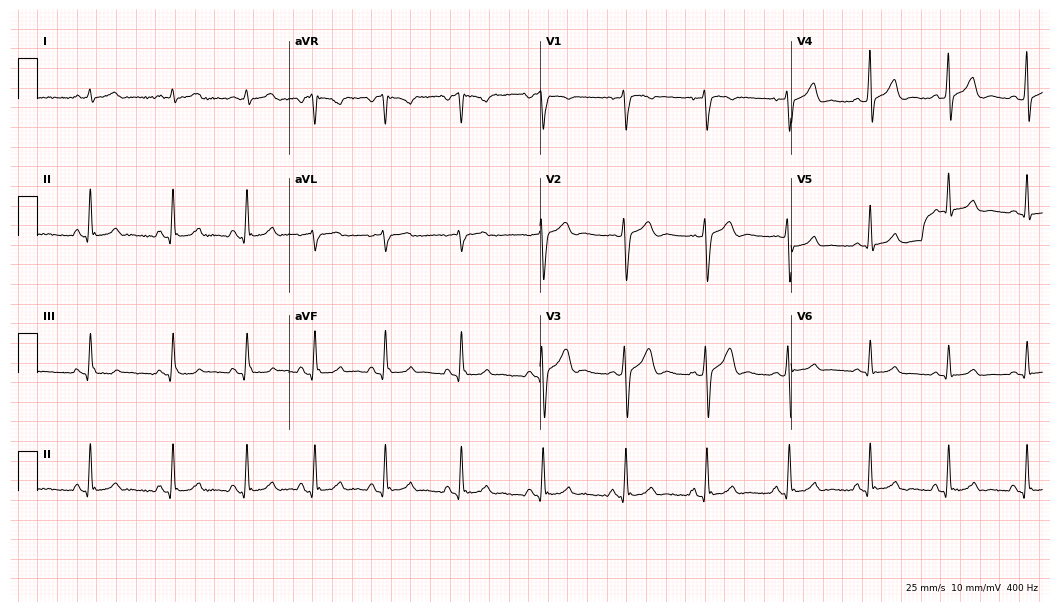
Standard 12-lead ECG recorded from a male, 24 years old. None of these six findings is recorded: first-degree AV block, right bundle branch block, left bundle branch block, sinus bradycardia, atrial fibrillation, sinus tachycardia.